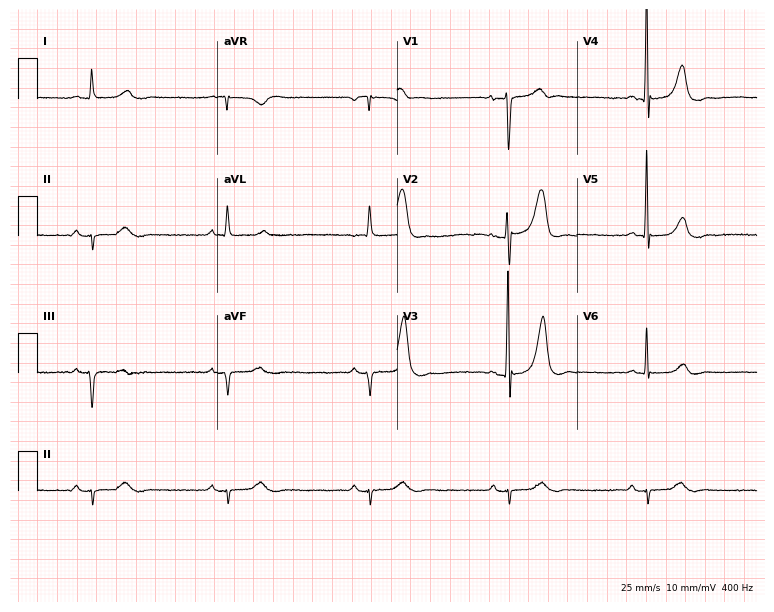
Resting 12-lead electrocardiogram (7.3-second recording at 400 Hz). Patient: an 85-year-old male. The tracing shows sinus bradycardia (a sinus rate of 50 beats per minute or less).